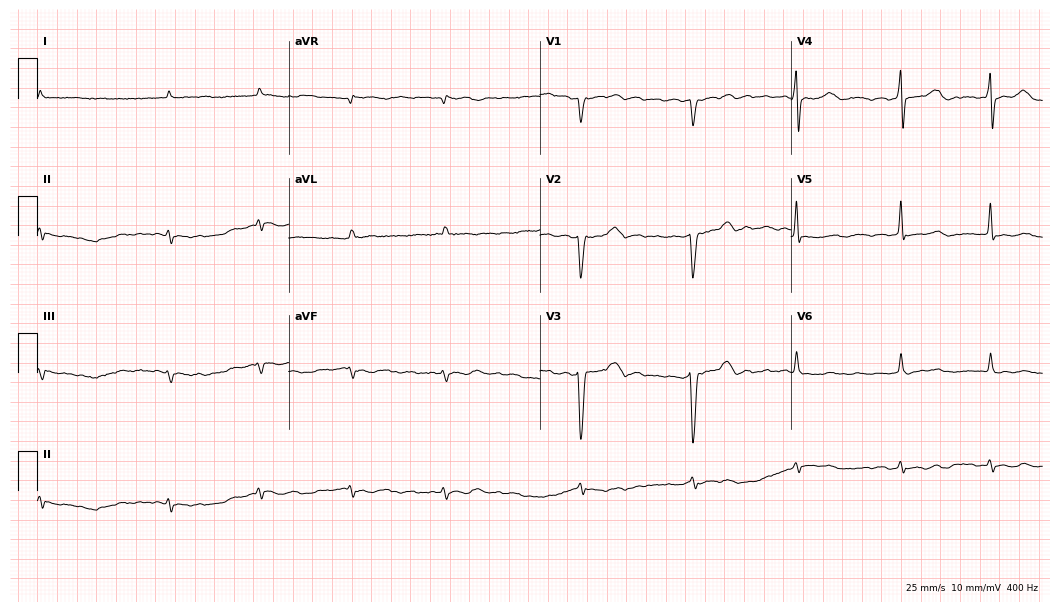
Resting 12-lead electrocardiogram (10.2-second recording at 400 Hz). Patient: an 86-year-old male. The tracing shows atrial fibrillation.